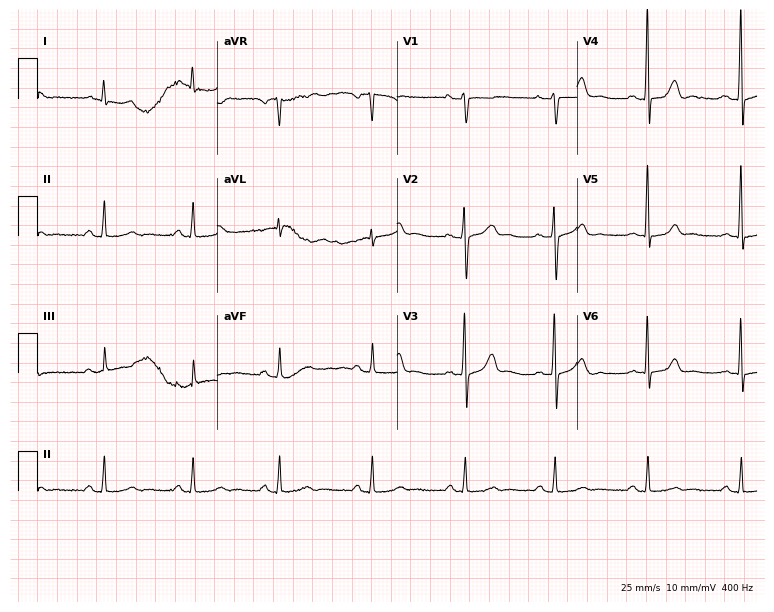
Standard 12-lead ECG recorded from a woman, 56 years old (7.3-second recording at 400 Hz). None of these six findings is recorded: first-degree AV block, right bundle branch block, left bundle branch block, sinus bradycardia, atrial fibrillation, sinus tachycardia.